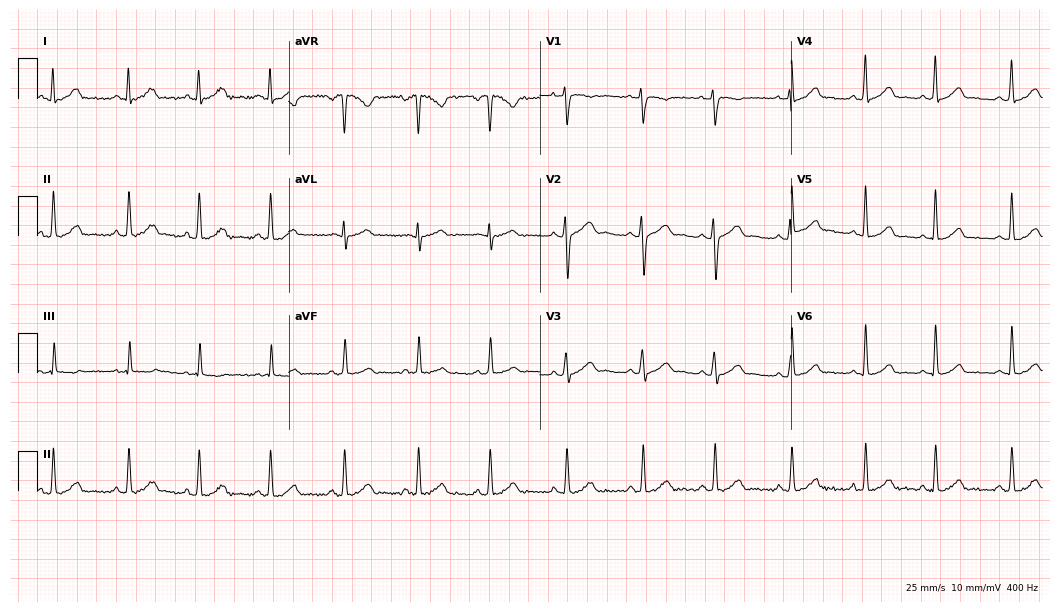
Standard 12-lead ECG recorded from a 24-year-old woman. Read as a normal ECG.